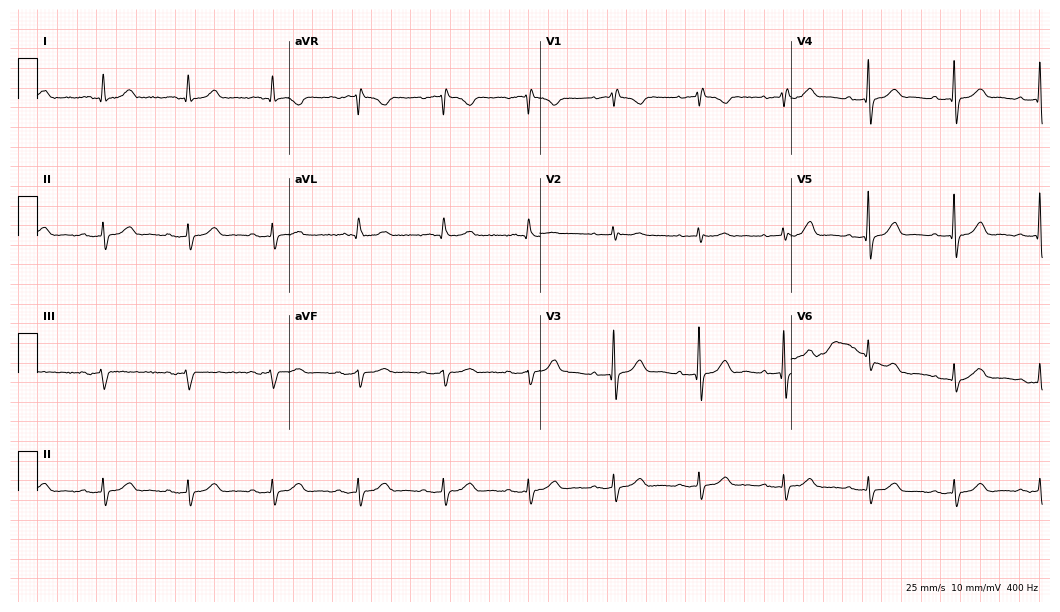
ECG (10.2-second recording at 400 Hz) — an 82-year-old female. Screened for six findings — first-degree AV block, right bundle branch block (RBBB), left bundle branch block (LBBB), sinus bradycardia, atrial fibrillation (AF), sinus tachycardia — none is recorded. Other findings, if any, are not listed.